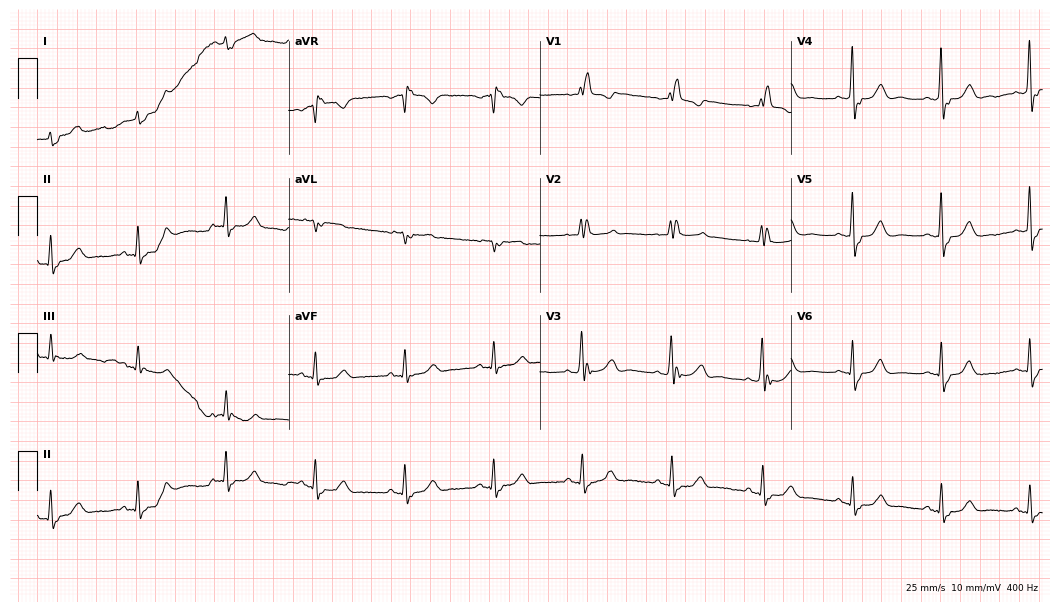
12-lead ECG from a man, 80 years old. Findings include right bundle branch block.